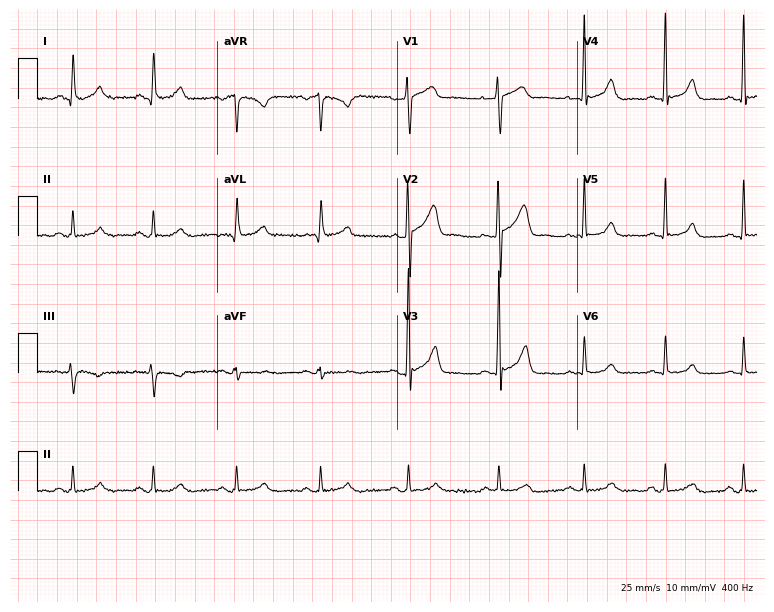
Standard 12-lead ECG recorded from a 38-year-old male patient. Read as a normal ECG.